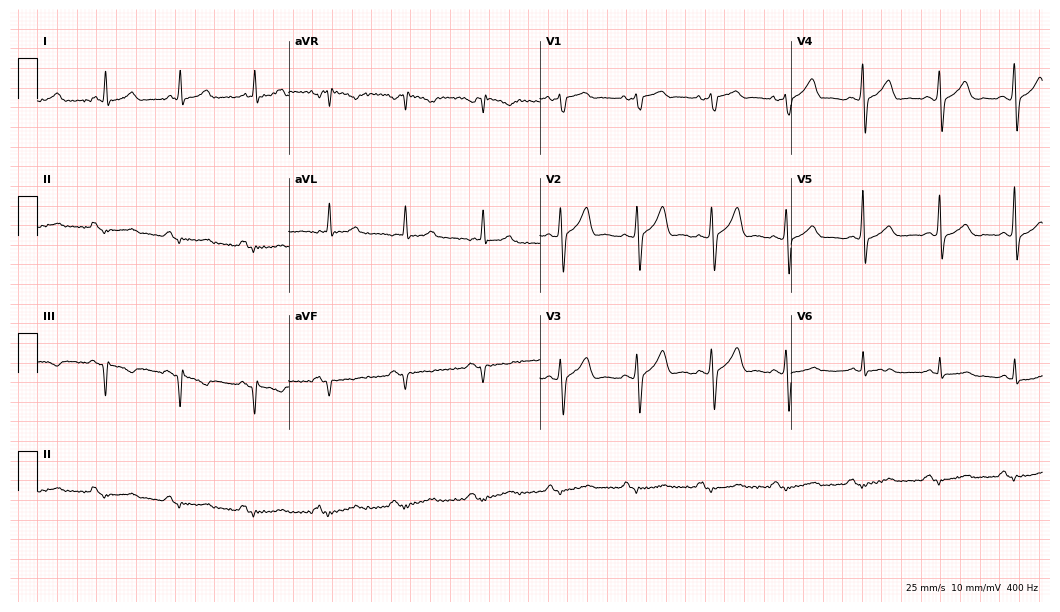
12-lead ECG from a 70-year-old man. No first-degree AV block, right bundle branch block, left bundle branch block, sinus bradycardia, atrial fibrillation or sinus tachycardia recorded for this tracing. Only these six findings were labelled.